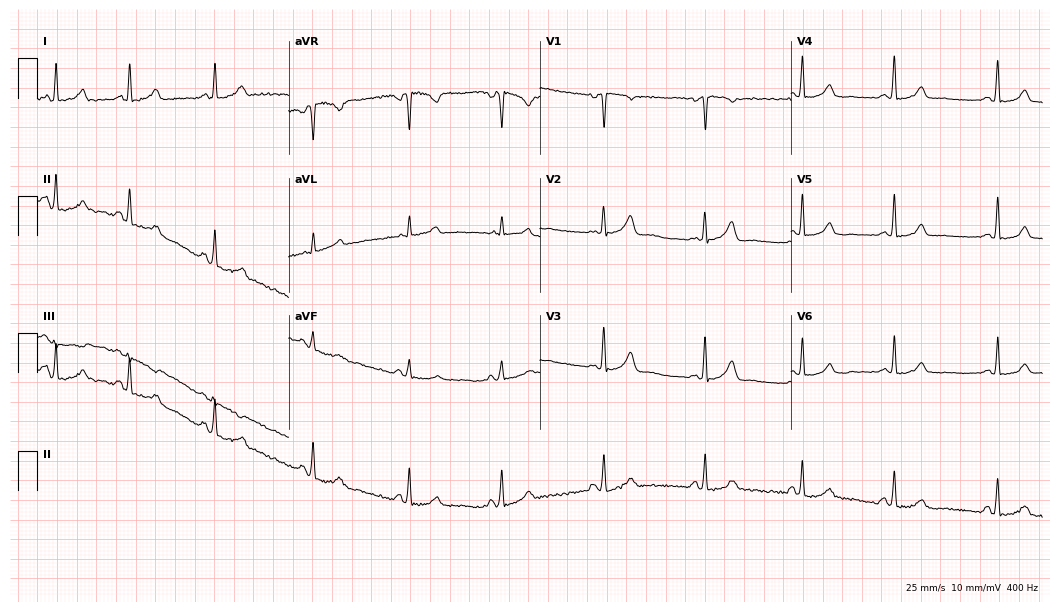
Resting 12-lead electrocardiogram (10.2-second recording at 400 Hz). Patient: an 18-year-old female. None of these six findings is recorded: first-degree AV block, right bundle branch block, left bundle branch block, sinus bradycardia, atrial fibrillation, sinus tachycardia.